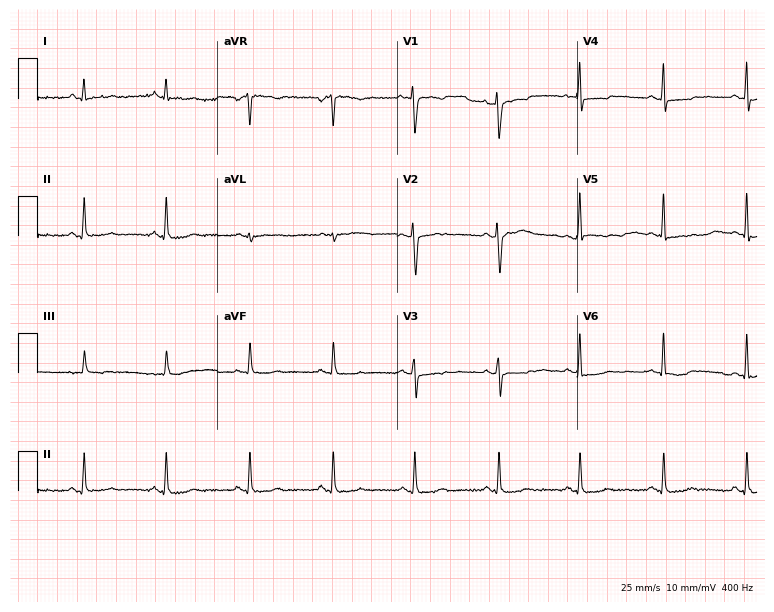
Standard 12-lead ECG recorded from a 40-year-old female (7.3-second recording at 400 Hz). Read as a normal ECG.